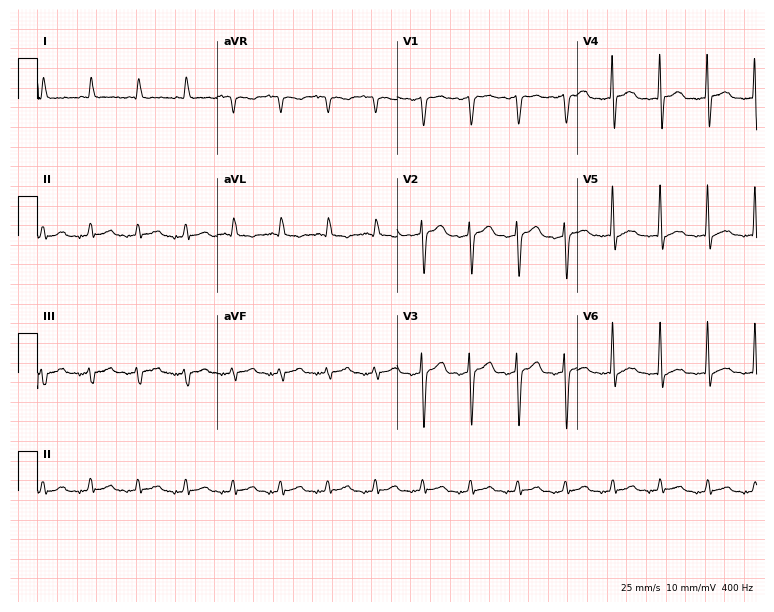
Standard 12-lead ECG recorded from an 83-year-old male patient (7.3-second recording at 400 Hz). The tracing shows atrial fibrillation (AF).